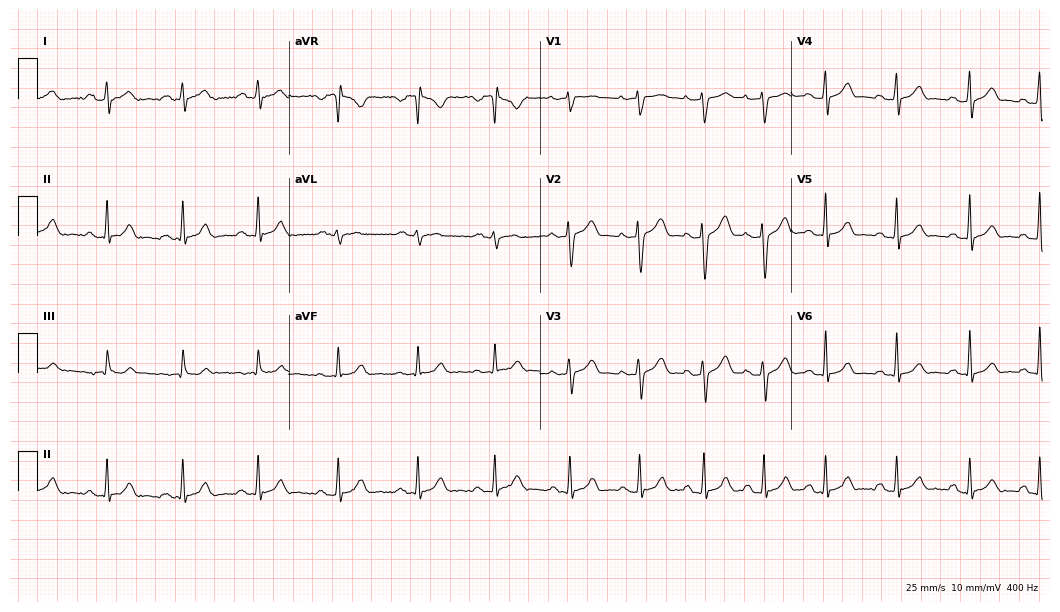
12-lead ECG (10.2-second recording at 400 Hz) from a 29-year-old man. Labelled as a normal ECG.